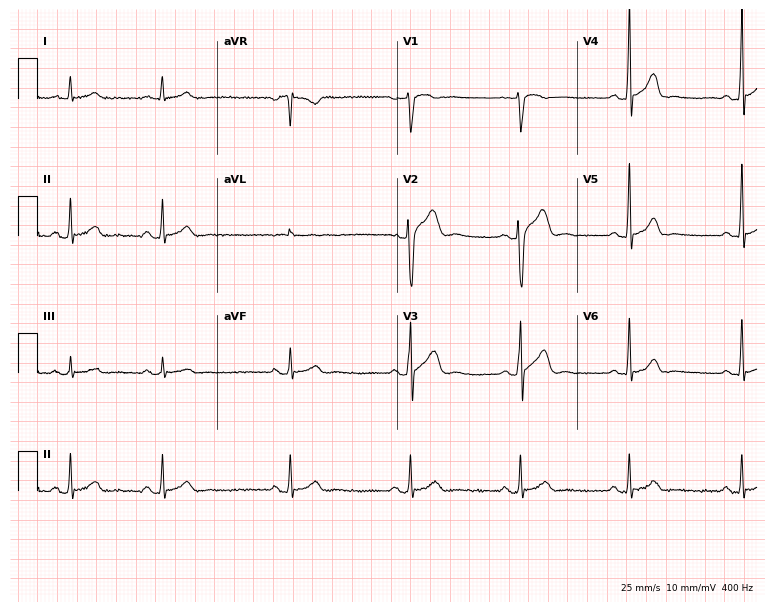
Resting 12-lead electrocardiogram (7.3-second recording at 400 Hz). Patient: a man, 32 years old. None of these six findings is recorded: first-degree AV block, right bundle branch block (RBBB), left bundle branch block (LBBB), sinus bradycardia, atrial fibrillation (AF), sinus tachycardia.